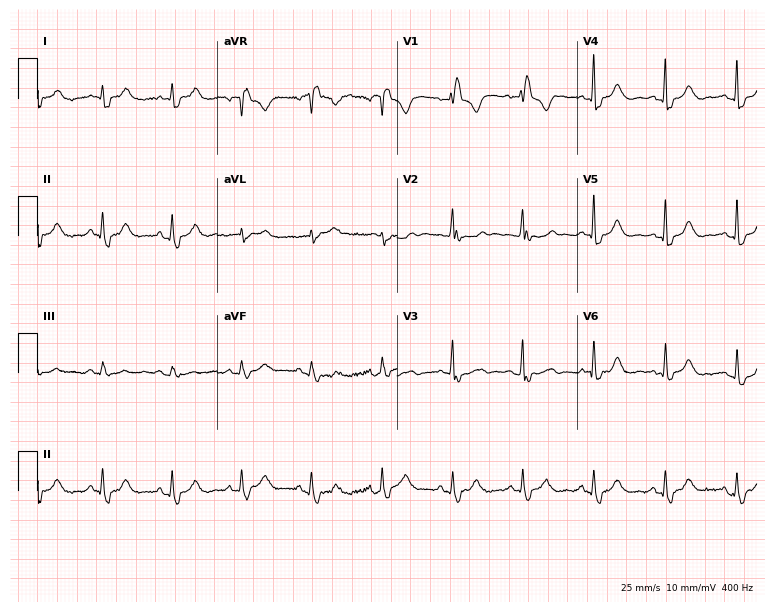
Standard 12-lead ECG recorded from a 65-year-old female (7.3-second recording at 400 Hz). The tracing shows right bundle branch block.